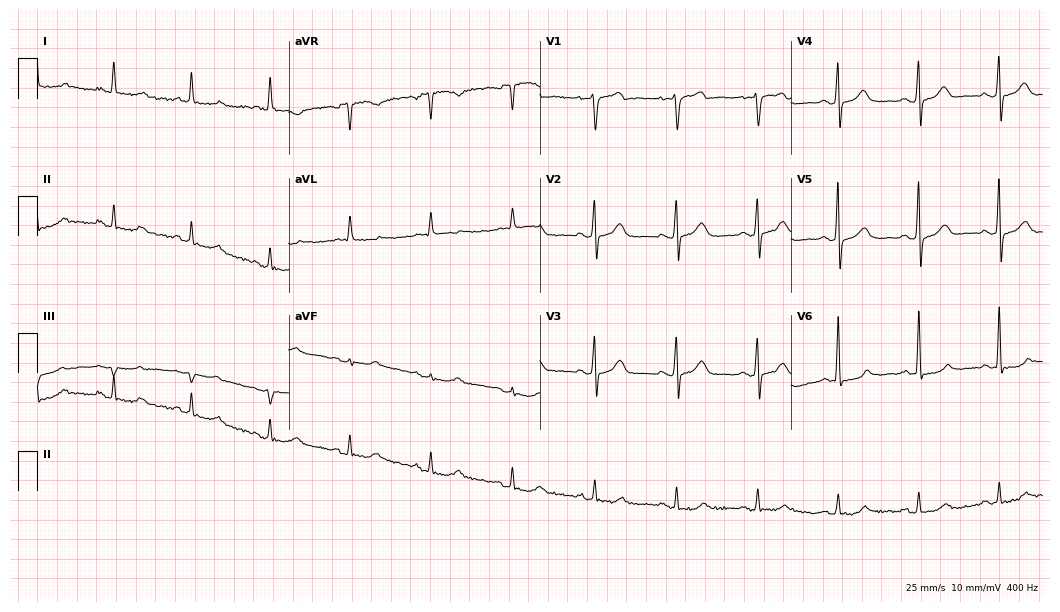
Standard 12-lead ECG recorded from a 66-year-old male (10.2-second recording at 400 Hz). Read as a normal ECG.